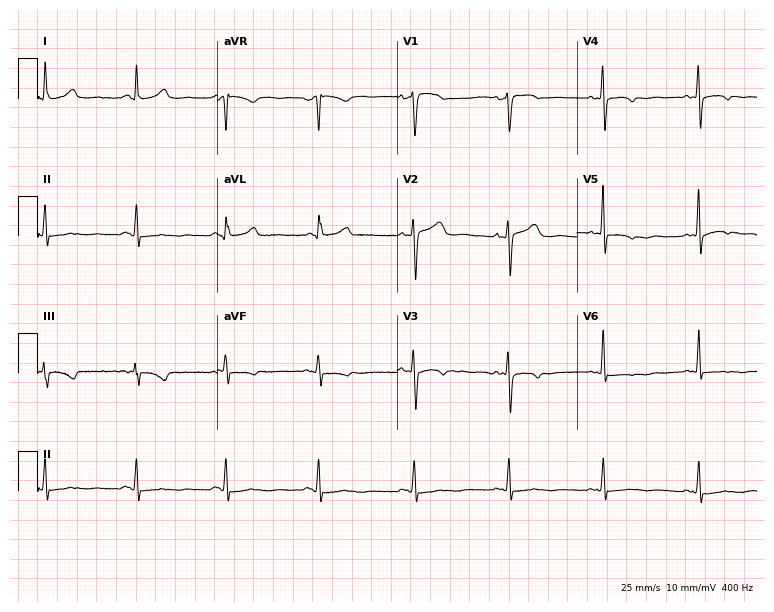
12-lead ECG from a woman, 54 years old. No first-degree AV block, right bundle branch block, left bundle branch block, sinus bradycardia, atrial fibrillation or sinus tachycardia recorded for this tracing. Only these six findings were labelled.